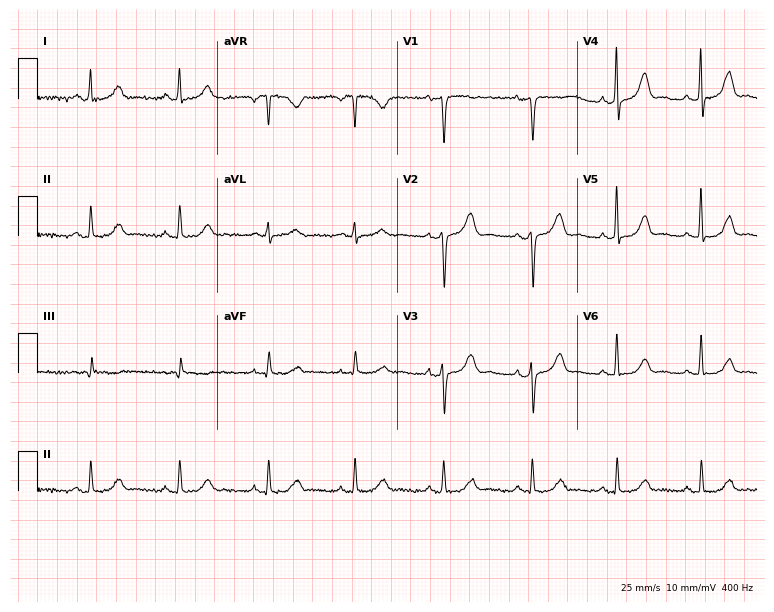
12-lead ECG (7.3-second recording at 400 Hz) from a 46-year-old woman. Labelled as a normal ECG.